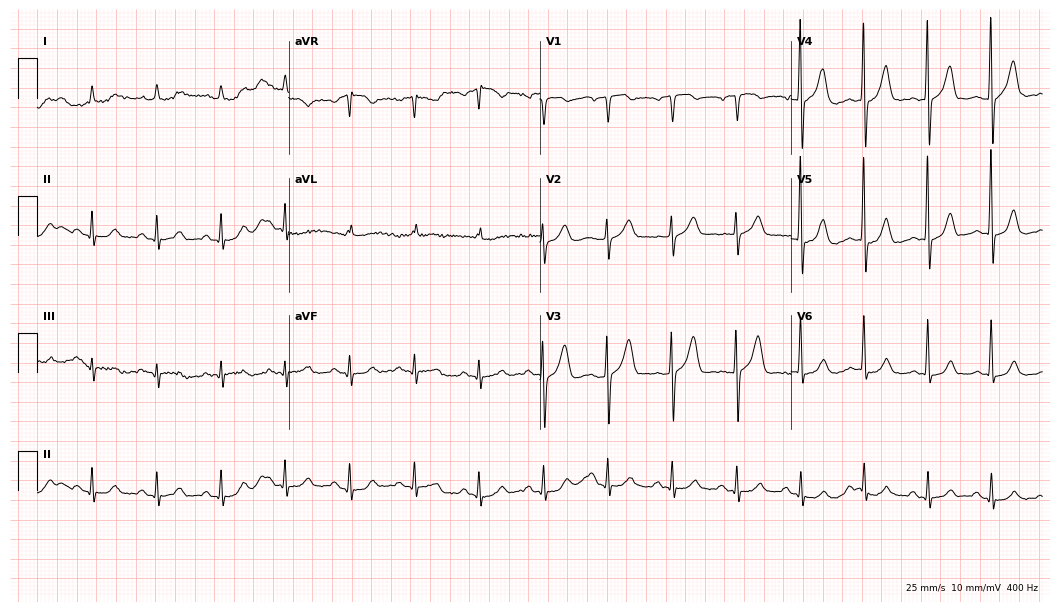
Resting 12-lead electrocardiogram (10.2-second recording at 400 Hz). Patient: an 82-year-old man. Read as a normal ECG.